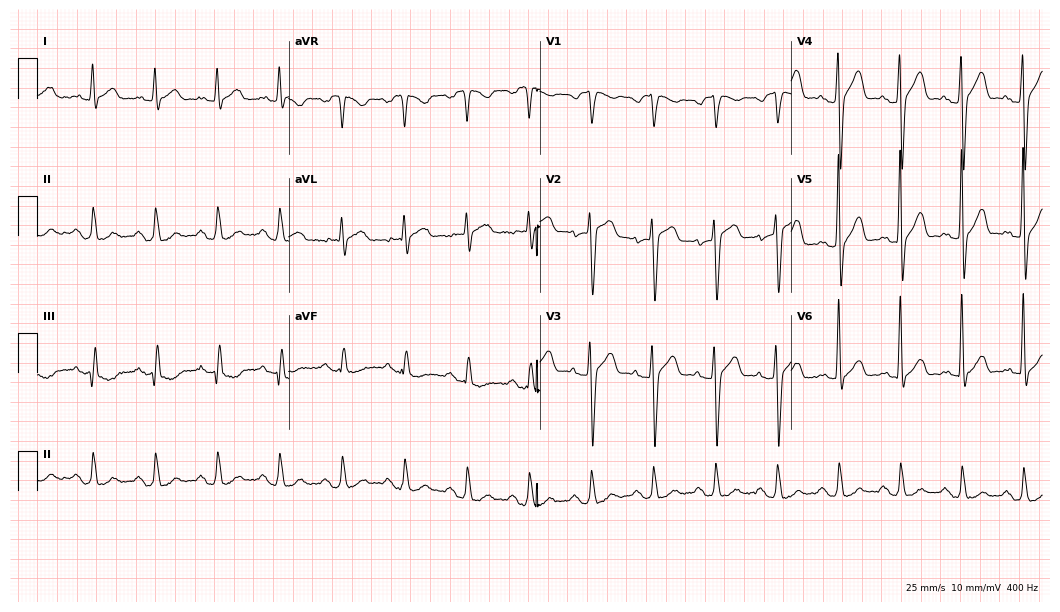
Standard 12-lead ECG recorded from a 73-year-old man. None of these six findings is recorded: first-degree AV block, right bundle branch block, left bundle branch block, sinus bradycardia, atrial fibrillation, sinus tachycardia. Only these six findings were labelled.